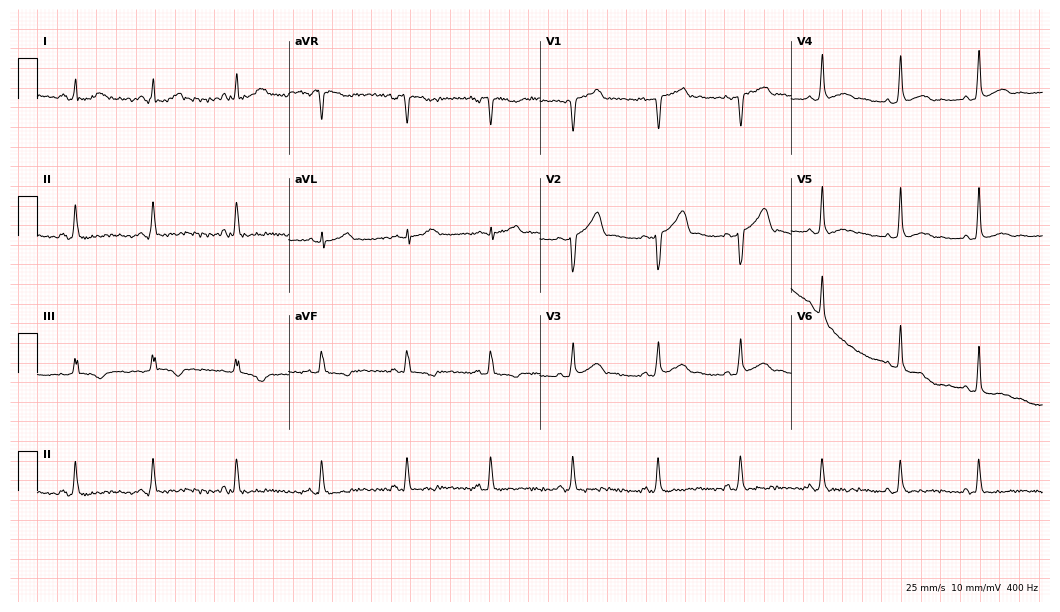
12-lead ECG from a male patient, 31 years old (10.2-second recording at 400 Hz). No first-degree AV block, right bundle branch block, left bundle branch block, sinus bradycardia, atrial fibrillation or sinus tachycardia recorded for this tracing.